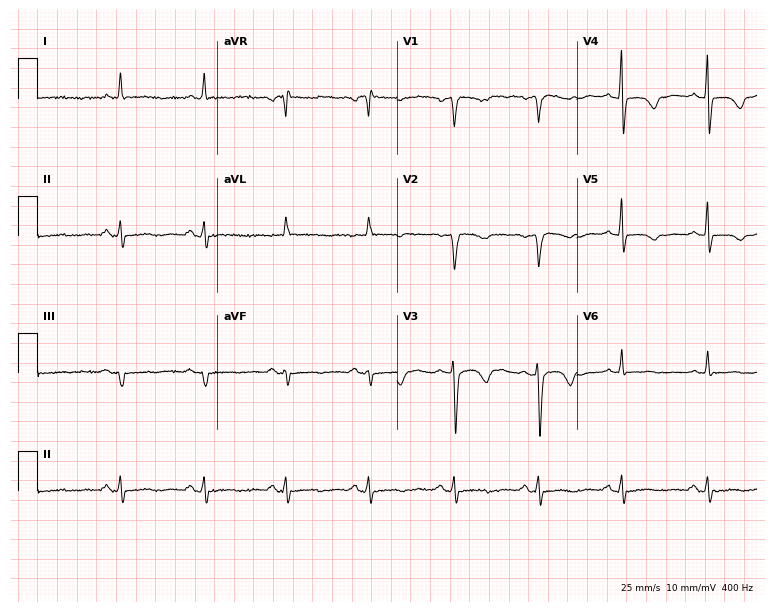
ECG (7.3-second recording at 400 Hz) — a female patient, 46 years old. Screened for six findings — first-degree AV block, right bundle branch block (RBBB), left bundle branch block (LBBB), sinus bradycardia, atrial fibrillation (AF), sinus tachycardia — none is recorded.